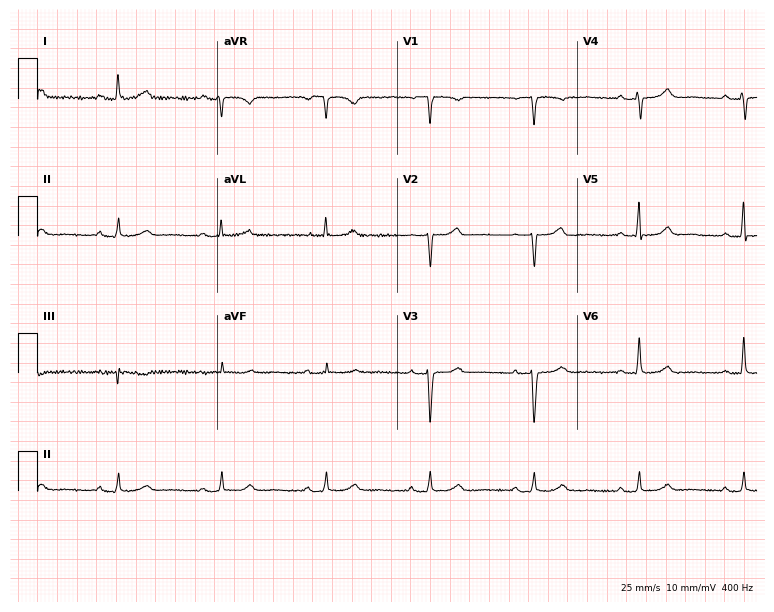
ECG — a 62-year-old female patient. Screened for six findings — first-degree AV block, right bundle branch block, left bundle branch block, sinus bradycardia, atrial fibrillation, sinus tachycardia — none is recorded. Other findings, if any, are not listed.